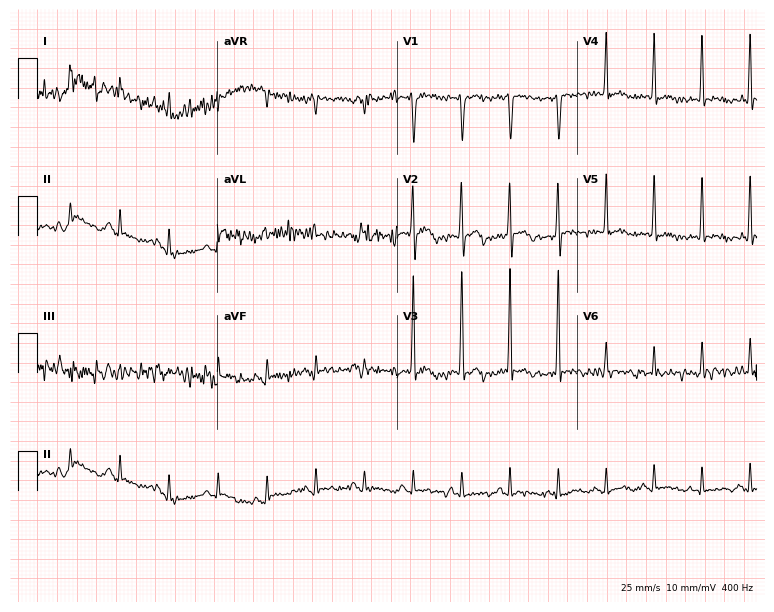
Resting 12-lead electrocardiogram (7.3-second recording at 400 Hz). Patient: a female, 28 years old. None of these six findings is recorded: first-degree AV block, right bundle branch block, left bundle branch block, sinus bradycardia, atrial fibrillation, sinus tachycardia.